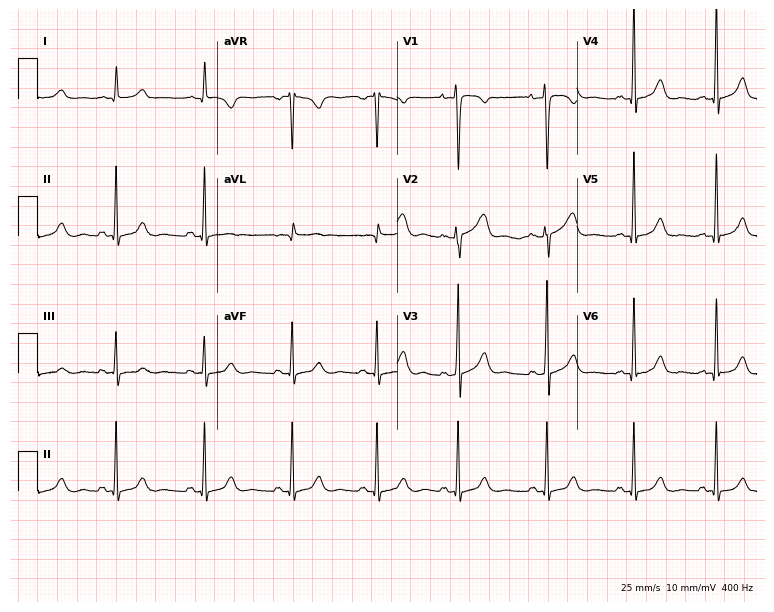
Resting 12-lead electrocardiogram (7.3-second recording at 400 Hz). Patient: a female, 32 years old. Read as a normal ECG.